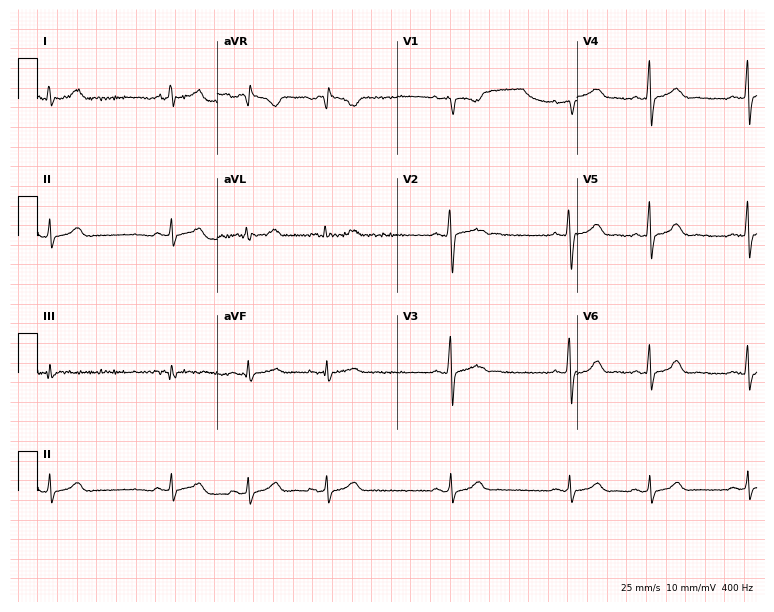
12-lead ECG from a 27-year-old woman. Screened for six findings — first-degree AV block, right bundle branch block (RBBB), left bundle branch block (LBBB), sinus bradycardia, atrial fibrillation (AF), sinus tachycardia — none is recorded. Other findings, if any, are not listed.